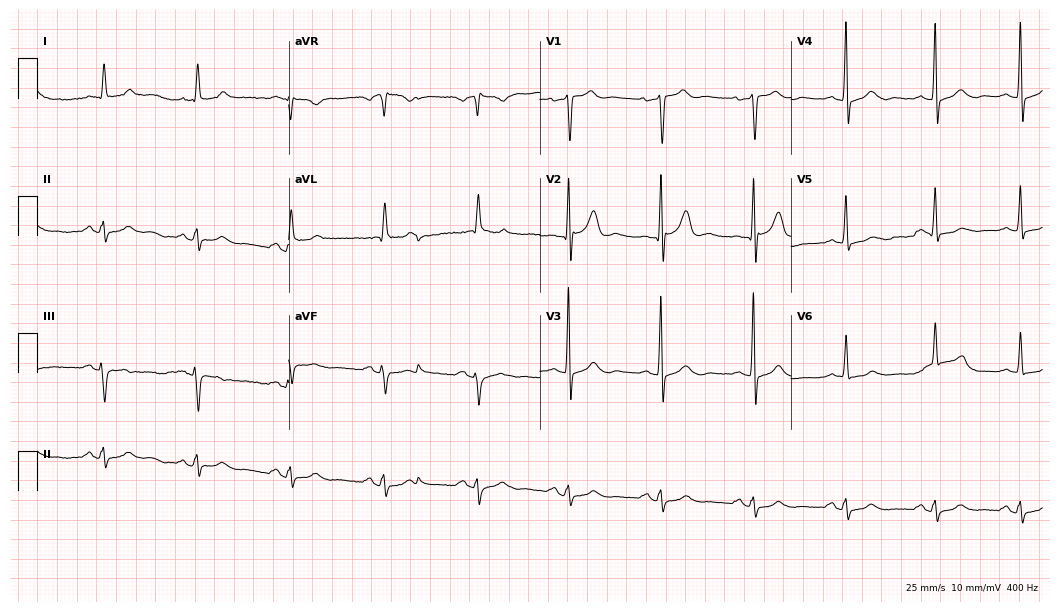
Resting 12-lead electrocardiogram. Patient: a male, 69 years old. None of these six findings is recorded: first-degree AV block, right bundle branch block, left bundle branch block, sinus bradycardia, atrial fibrillation, sinus tachycardia. Only these six findings were labelled.